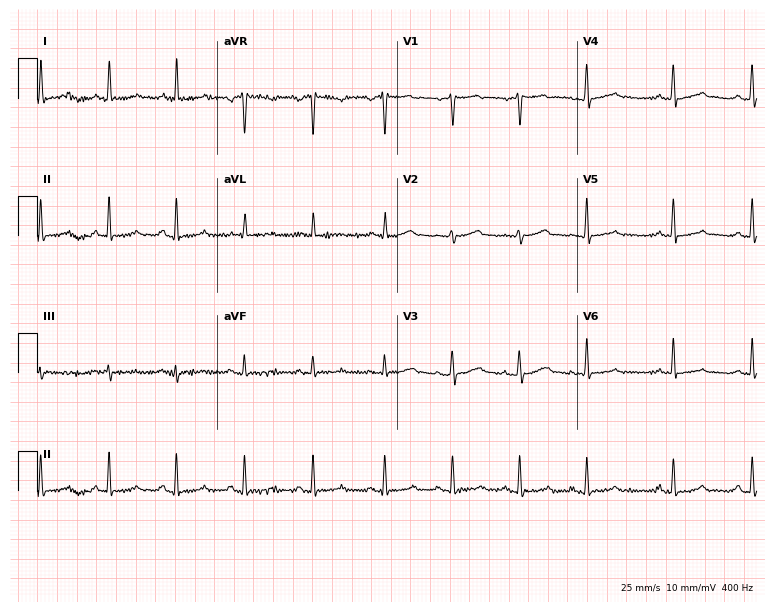
12-lead ECG from a 55-year-old female patient. Recorded interpretation: within normal limits.